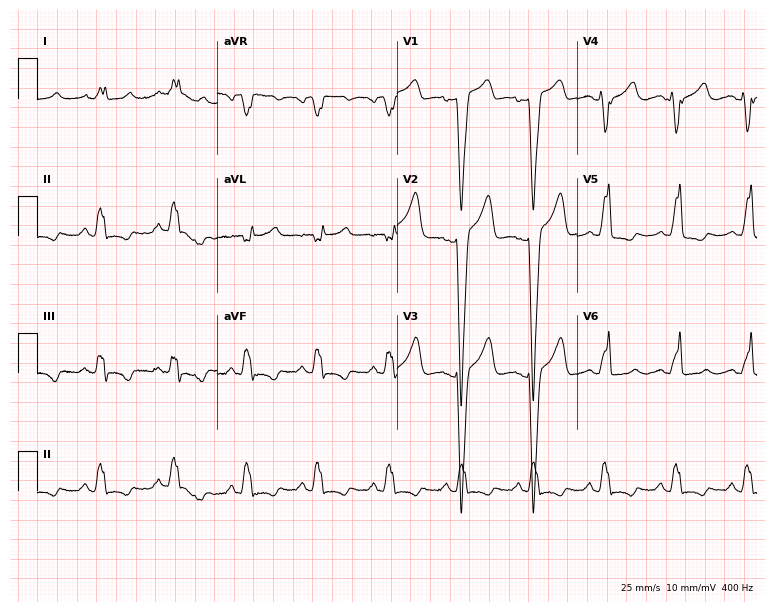
12-lead ECG from a female patient, 52 years old. Screened for six findings — first-degree AV block, right bundle branch block, left bundle branch block, sinus bradycardia, atrial fibrillation, sinus tachycardia — none is recorded.